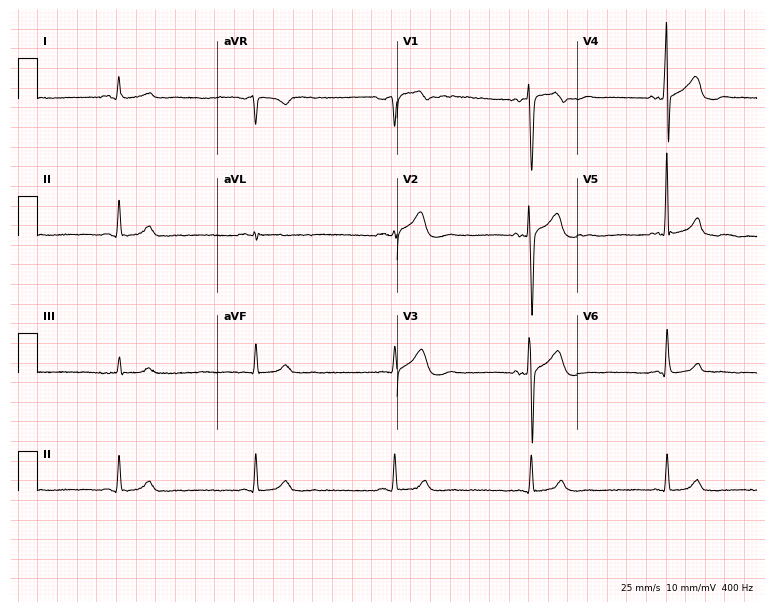
Resting 12-lead electrocardiogram (7.3-second recording at 400 Hz). Patient: a 73-year-old male. The tracing shows sinus bradycardia (a sinus rate of 50 beats per minute or less).